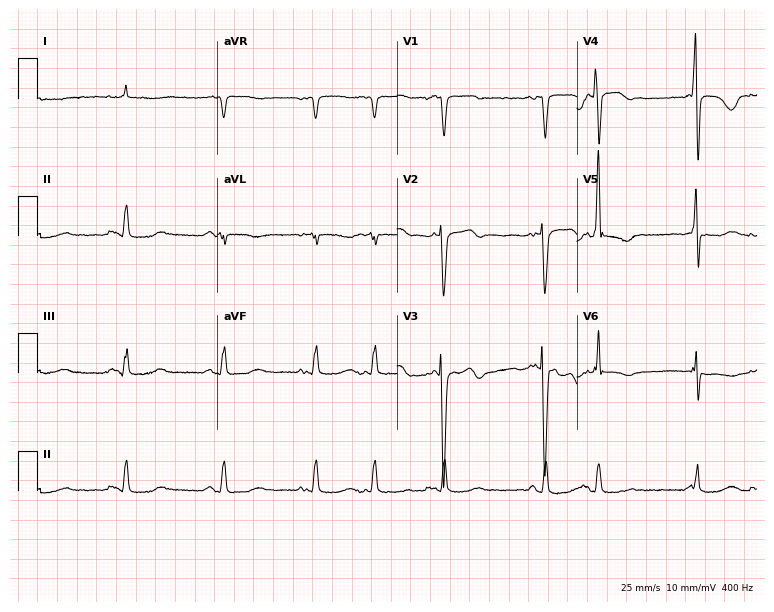
12-lead ECG from a 68-year-old man (7.3-second recording at 400 Hz). No first-degree AV block, right bundle branch block, left bundle branch block, sinus bradycardia, atrial fibrillation or sinus tachycardia recorded for this tracing.